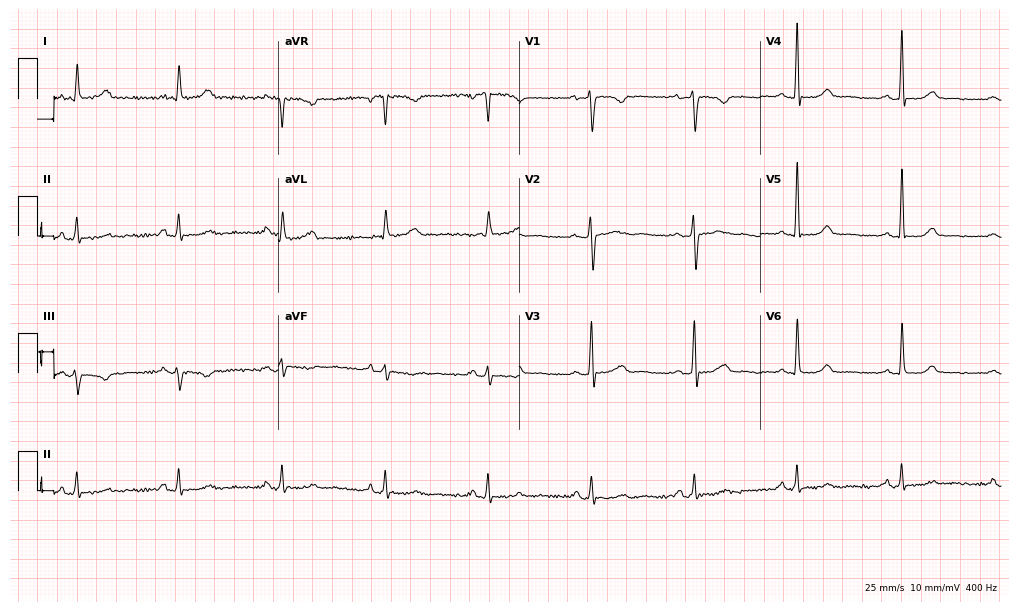
Resting 12-lead electrocardiogram (9.8-second recording at 400 Hz). Patient: a 51-year-old female. None of these six findings is recorded: first-degree AV block, right bundle branch block (RBBB), left bundle branch block (LBBB), sinus bradycardia, atrial fibrillation (AF), sinus tachycardia.